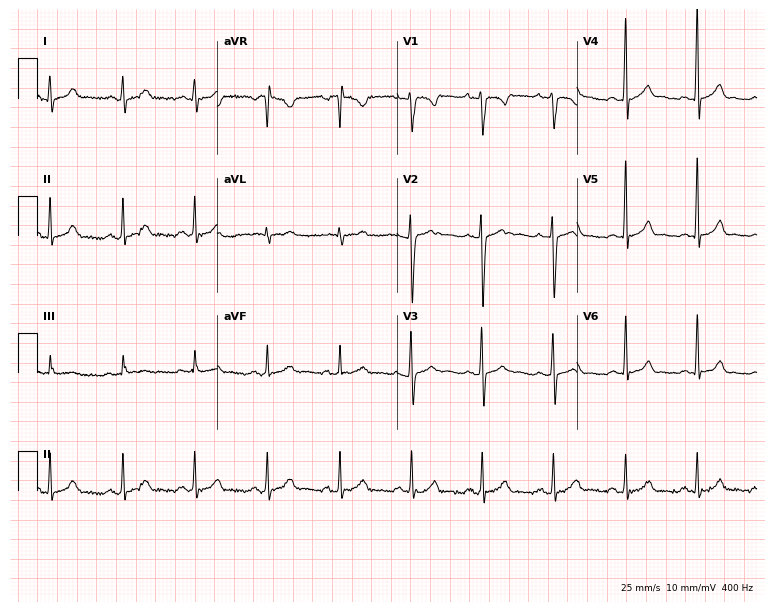
ECG (7.3-second recording at 400 Hz) — a female patient, 17 years old. Screened for six findings — first-degree AV block, right bundle branch block, left bundle branch block, sinus bradycardia, atrial fibrillation, sinus tachycardia — none is recorded.